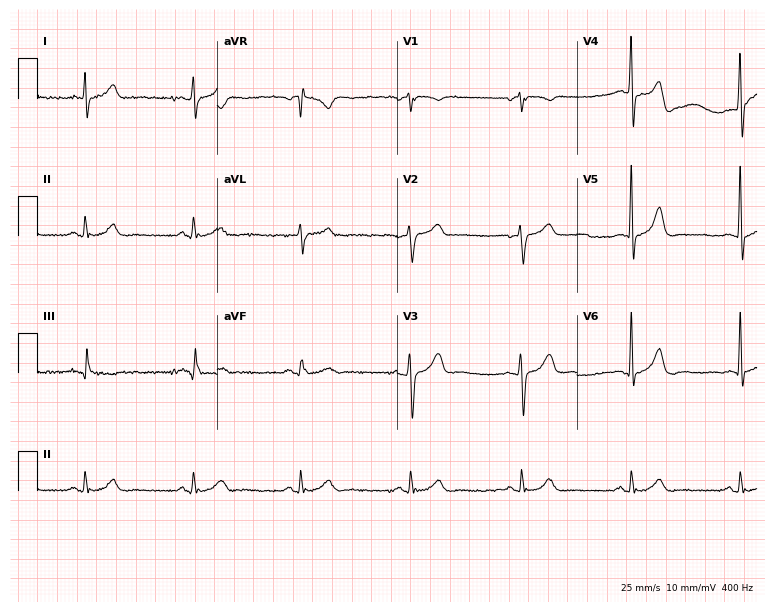
Standard 12-lead ECG recorded from a 40-year-old man. Read as a normal ECG.